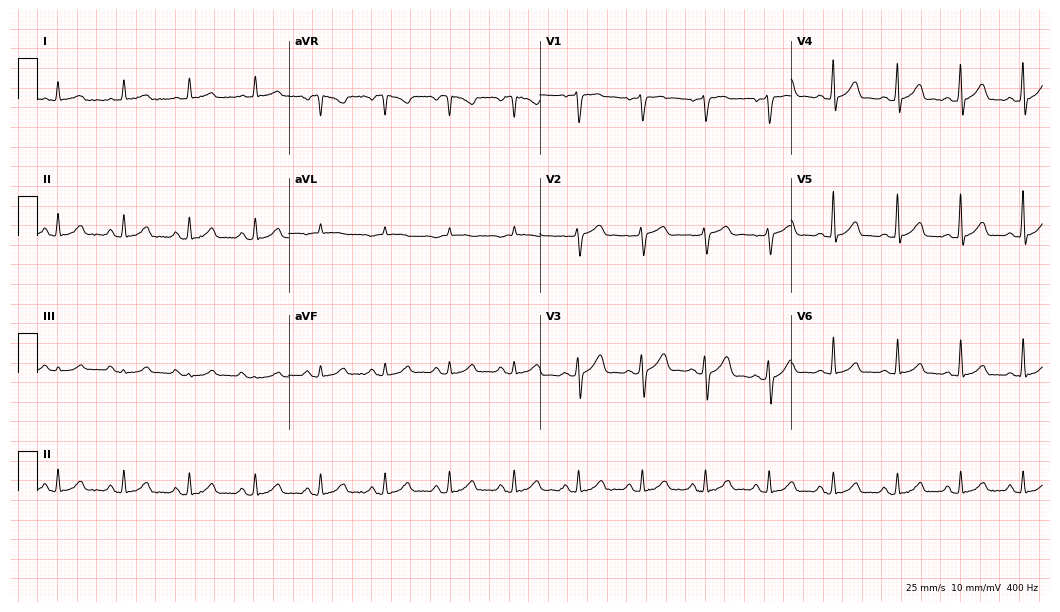
Electrocardiogram (10.2-second recording at 400 Hz), a 61-year-old male patient. Overall reading on record: normal ECG.